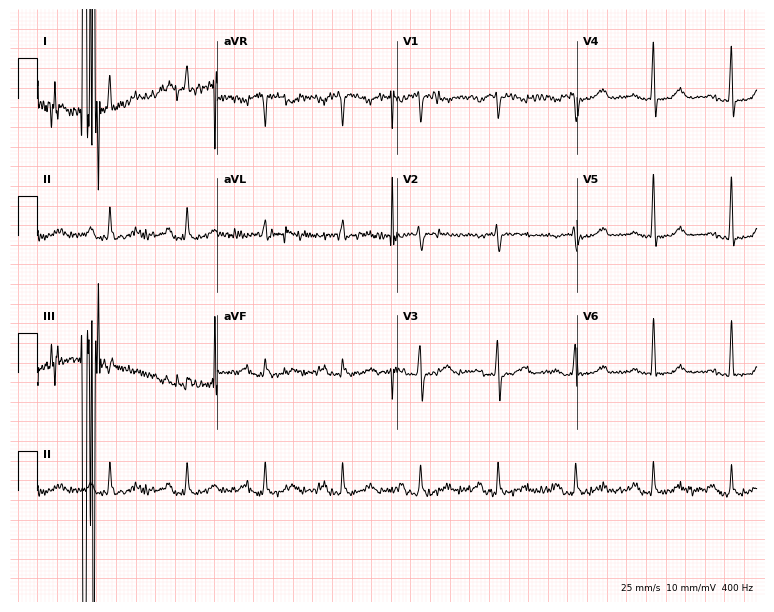
12-lead ECG from a male, 81 years old. Screened for six findings — first-degree AV block, right bundle branch block (RBBB), left bundle branch block (LBBB), sinus bradycardia, atrial fibrillation (AF), sinus tachycardia — none is recorded.